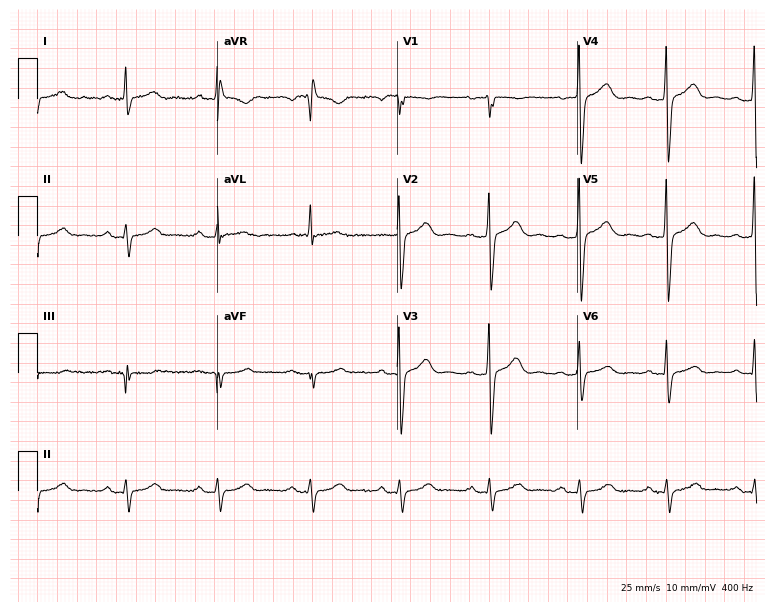
12-lead ECG from a 49-year-old female patient. Shows first-degree AV block.